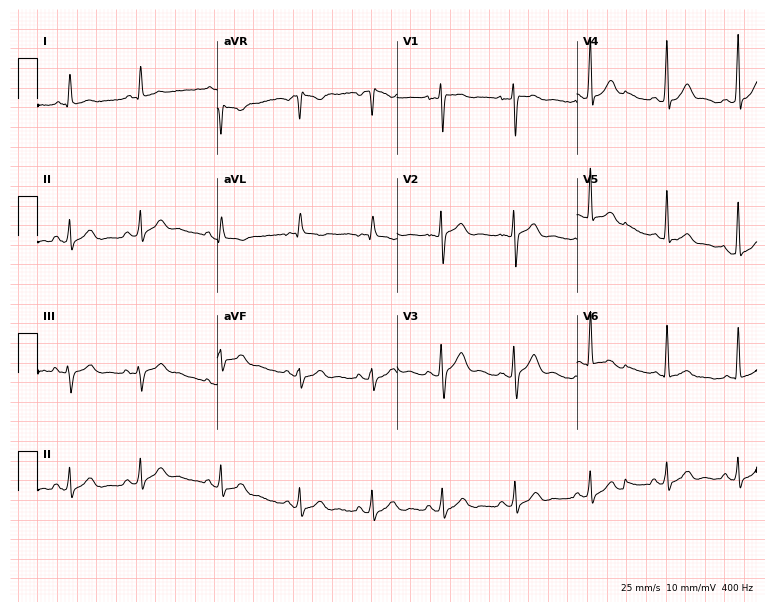
ECG — an 18-year-old man. Screened for six findings — first-degree AV block, right bundle branch block (RBBB), left bundle branch block (LBBB), sinus bradycardia, atrial fibrillation (AF), sinus tachycardia — none is recorded. Only these six findings were labelled.